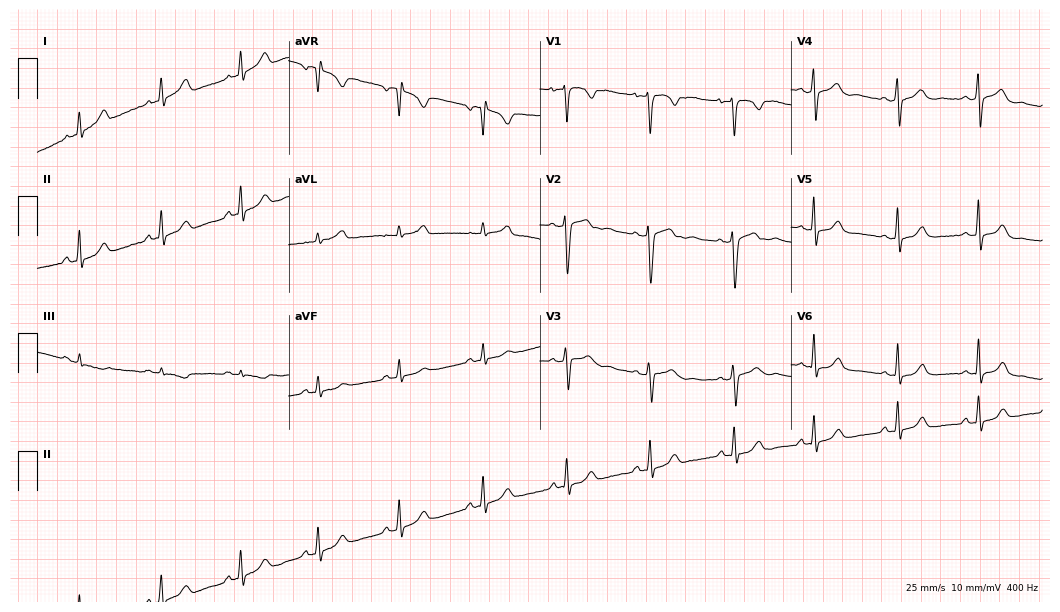
12-lead ECG from a 32-year-old female patient. Labelled as a normal ECG.